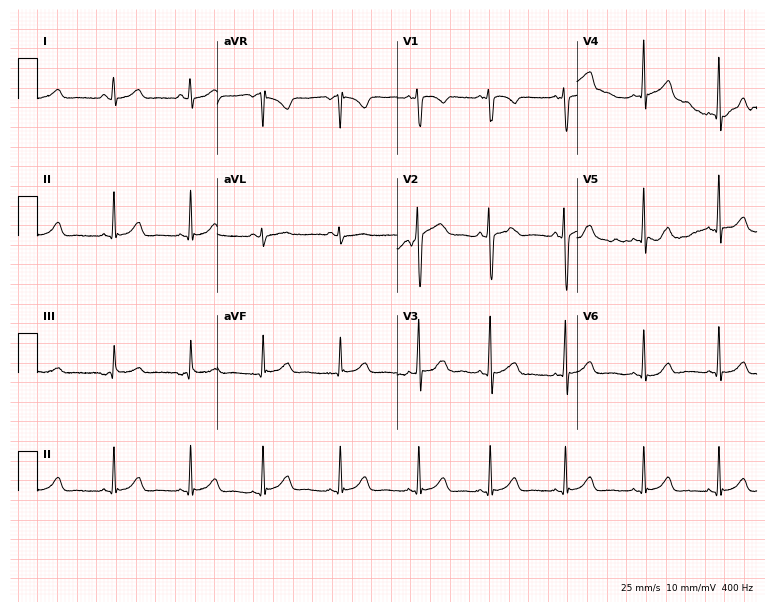
Electrocardiogram, a female patient, 26 years old. Overall reading on record: normal ECG.